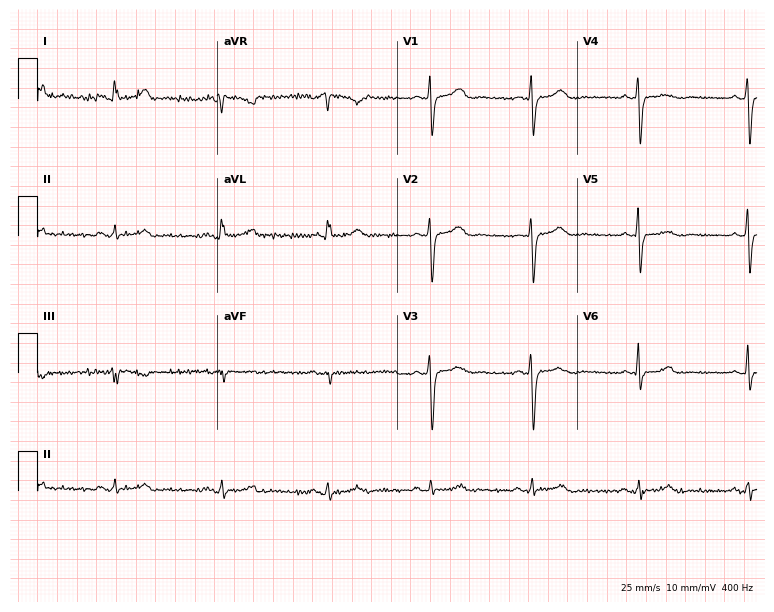
Resting 12-lead electrocardiogram (7.3-second recording at 400 Hz). Patient: a female, 48 years old. None of these six findings is recorded: first-degree AV block, right bundle branch block, left bundle branch block, sinus bradycardia, atrial fibrillation, sinus tachycardia.